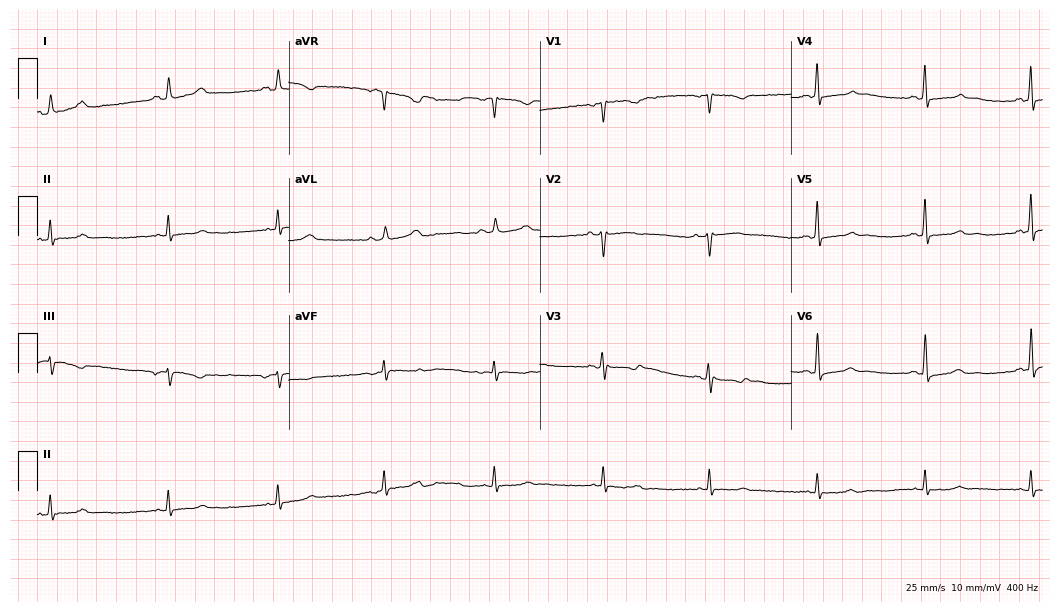
12-lead ECG from a 45-year-old female (10.2-second recording at 400 Hz). No first-degree AV block, right bundle branch block (RBBB), left bundle branch block (LBBB), sinus bradycardia, atrial fibrillation (AF) or sinus tachycardia recorded for this tracing.